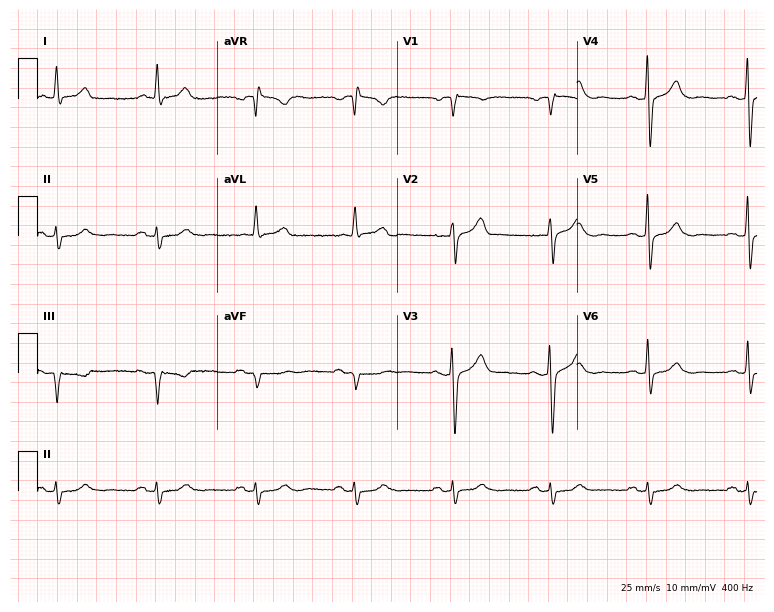
Electrocardiogram (7.3-second recording at 400 Hz), a 72-year-old man. Of the six screened findings (first-degree AV block, right bundle branch block, left bundle branch block, sinus bradycardia, atrial fibrillation, sinus tachycardia), none is recorded.